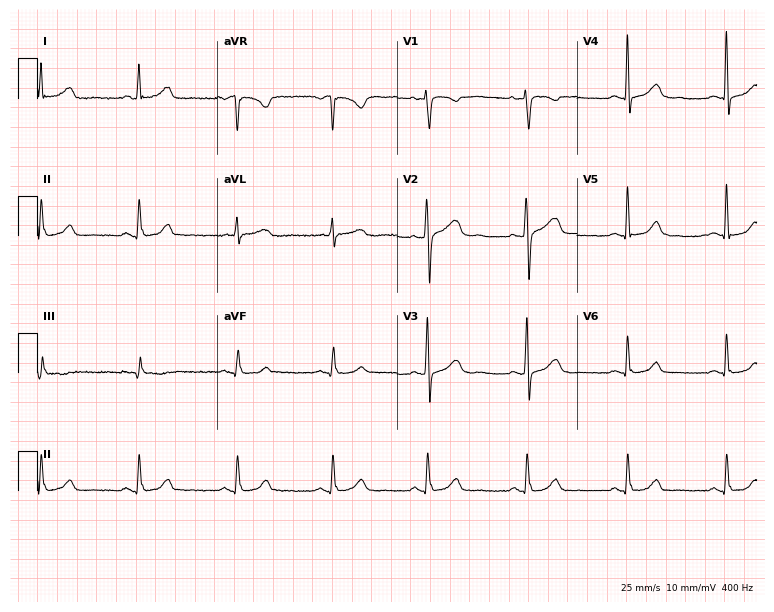
ECG — a 58-year-old woman. Labelled as a normal ECG.